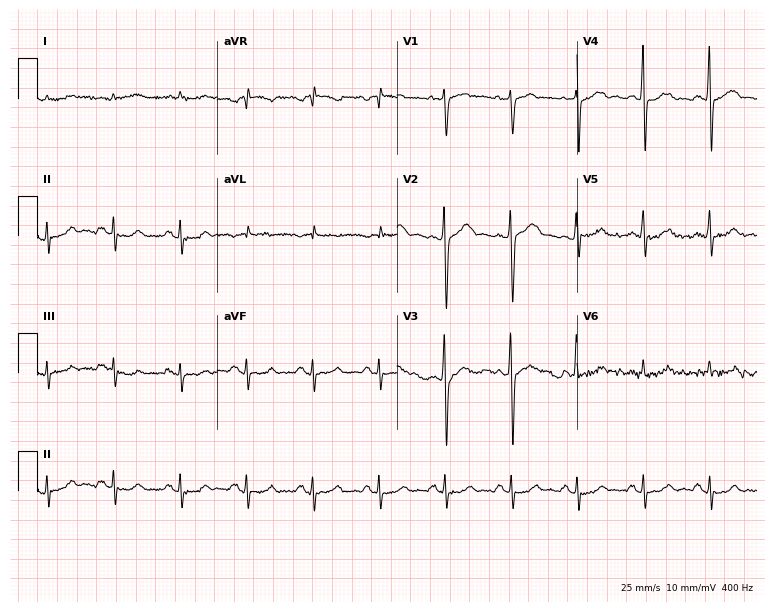
Resting 12-lead electrocardiogram. Patient: a 66-year-old man. Read as a normal ECG.